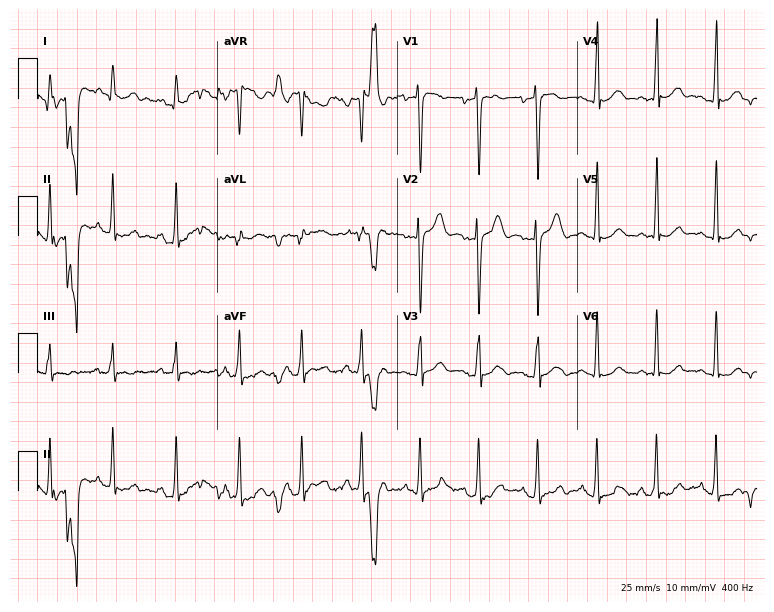
Resting 12-lead electrocardiogram (7.3-second recording at 400 Hz). Patient: a 24-year-old male. Read as a normal ECG.